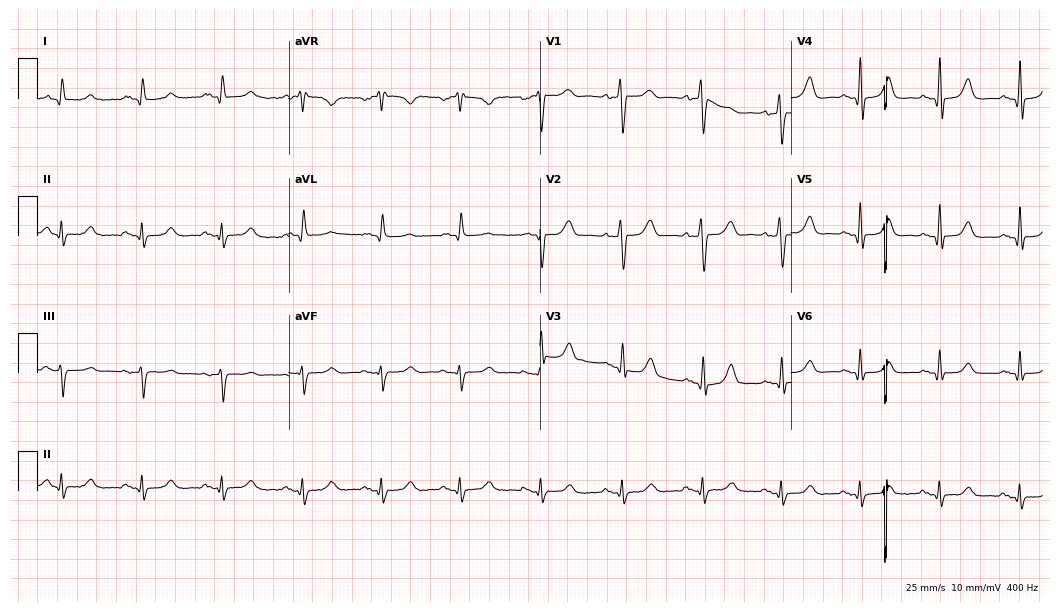
12-lead ECG from a female, 72 years old. Labelled as a normal ECG.